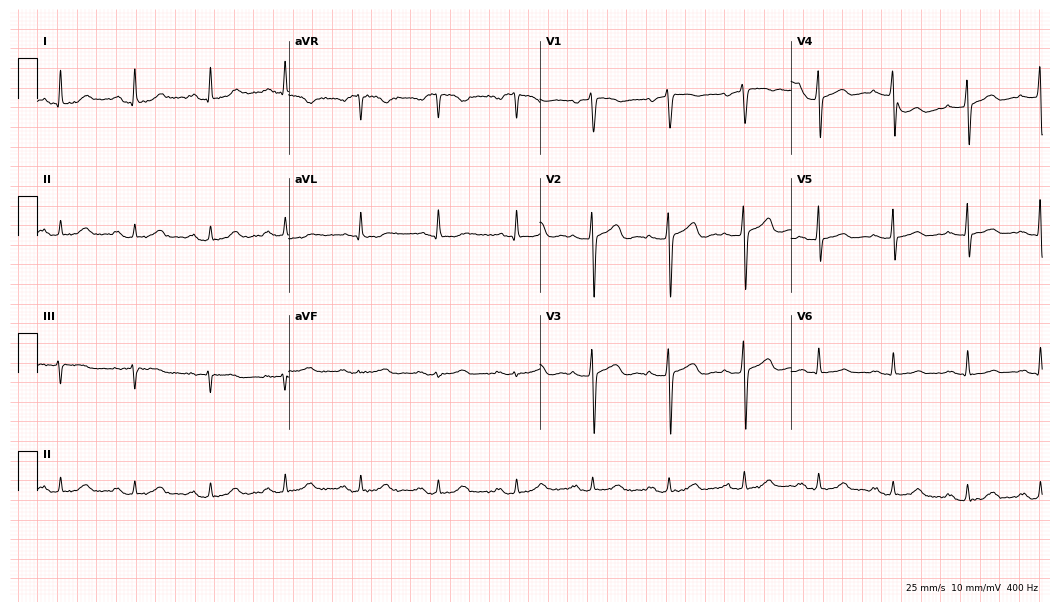
12-lead ECG from a female, 49 years old. Labelled as a normal ECG.